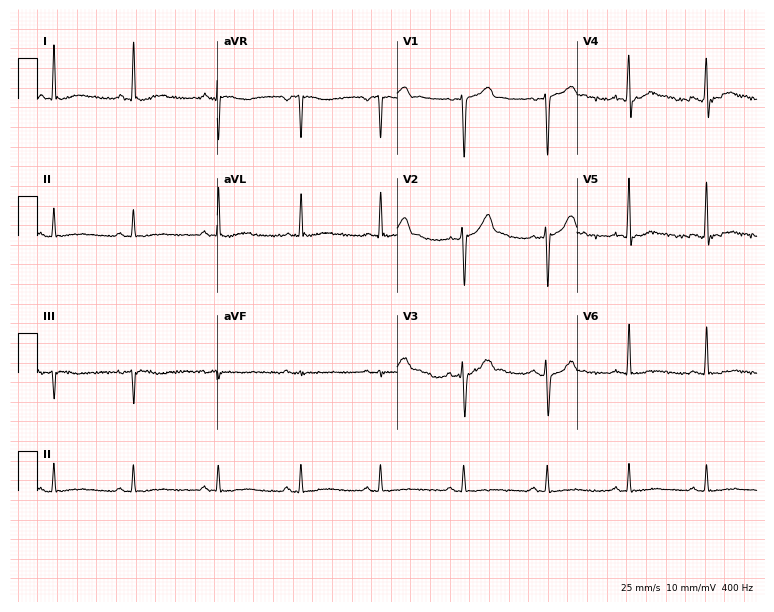
12-lead ECG from a 33-year-old male patient (7.3-second recording at 400 Hz). No first-degree AV block, right bundle branch block (RBBB), left bundle branch block (LBBB), sinus bradycardia, atrial fibrillation (AF) or sinus tachycardia recorded for this tracing.